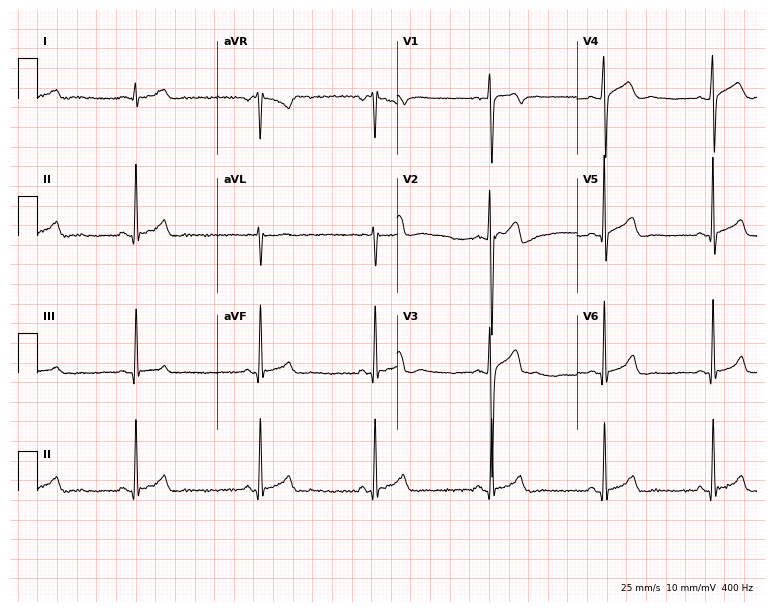
12-lead ECG from a male, 20 years old. No first-degree AV block, right bundle branch block, left bundle branch block, sinus bradycardia, atrial fibrillation or sinus tachycardia recorded for this tracing.